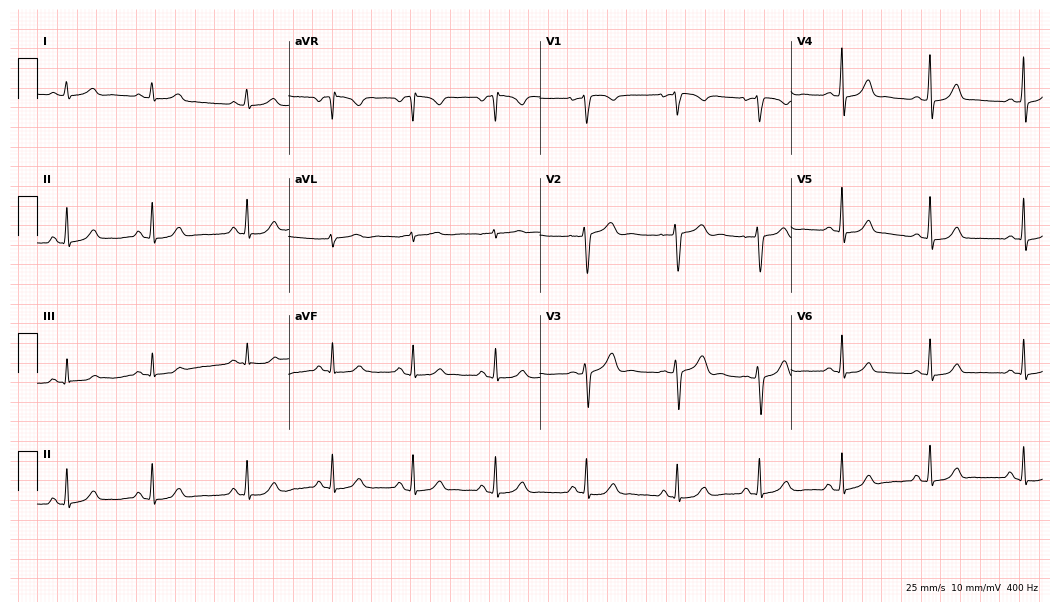
Standard 12-lead ECG recorded from a 33-year-old female patient. Read as a normal ECG.